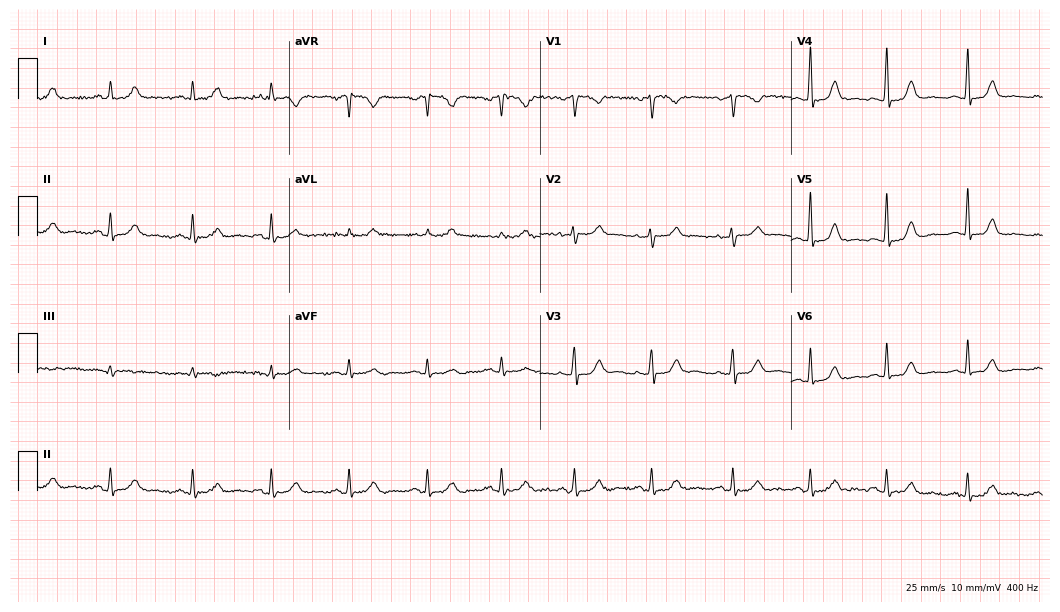
Standard 12-lead ECG recorded from a female, 55 years old (10.2-second recording at 400 Hz). None of these six findings is recorded: first-degree AV block, right bundle branch block, left bundle branch block, sinus bradycardia, atrial fibrillation, sinus tachycardia.